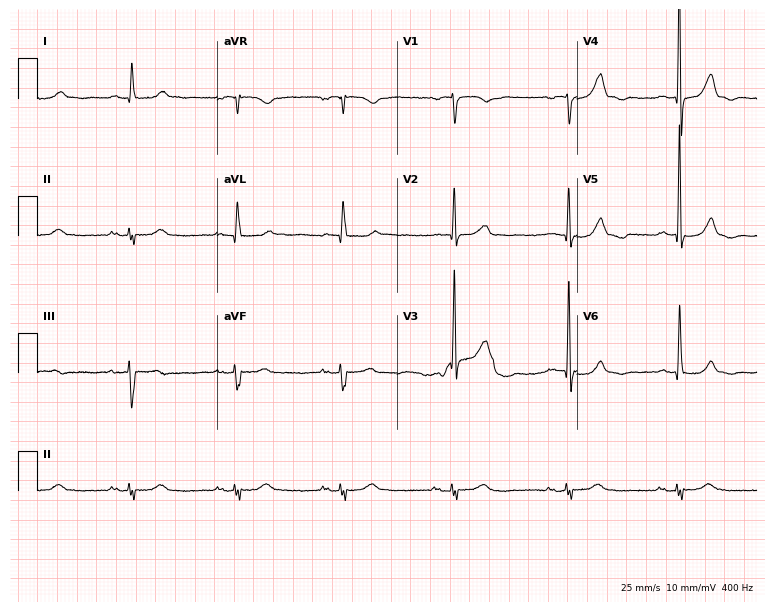
ECG — a man, 70 years old. Screened for six findings — first-degree AV block, right bundle branch block (RBBB), left bundle branch block (LBBB), sinus bradycardia, atrial fibrillation (AF), sinus tachycardia — none is recorded. Other findings, if any, are not listed.